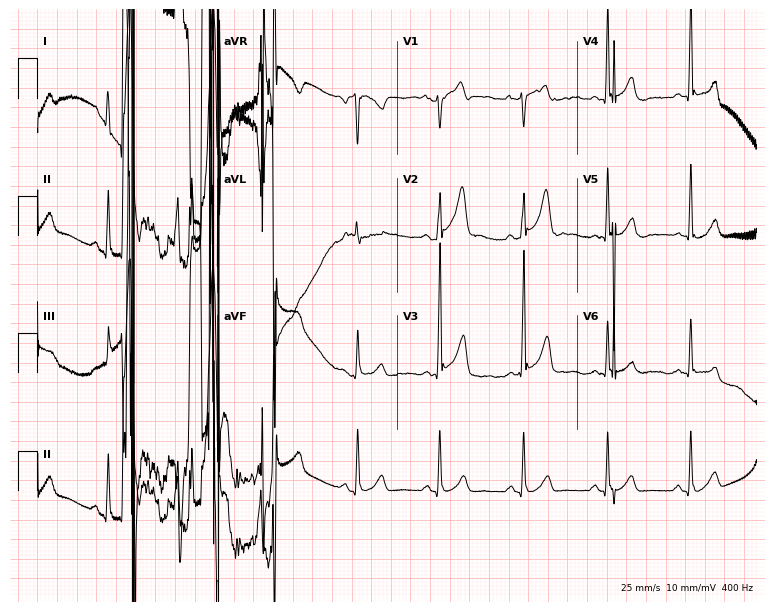
12-lead ECG (7.3-second recording at 400 Hz) from a 52-year-old man. Screened for six findings — first-degree AV block, right bundle branch block (RBBB), left bundle branch block (LBBB), sinus bradycardia, atrial fibrillation (AF), sinus tachycardia — none is recorded.